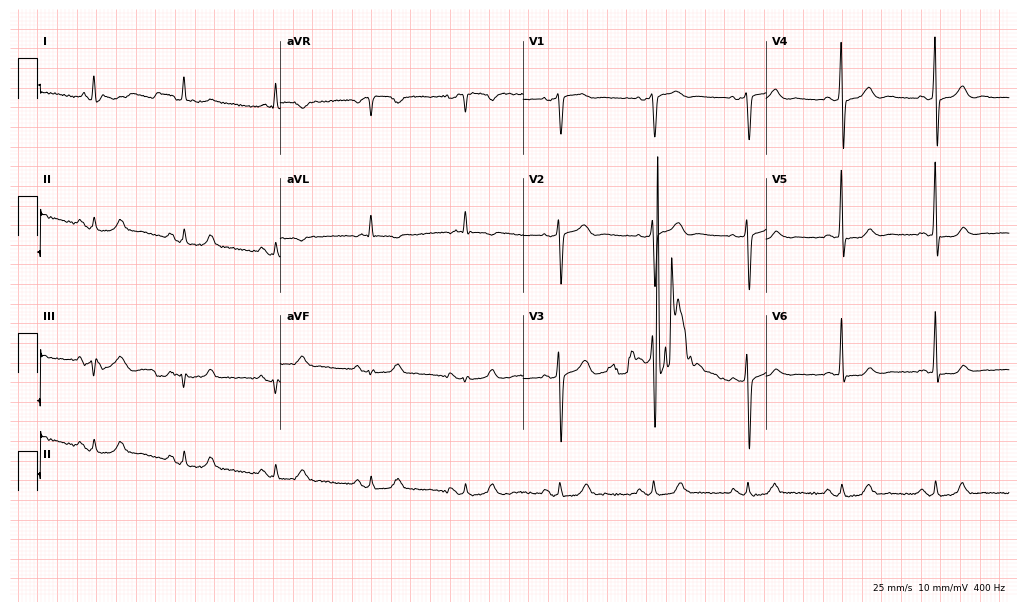
Standard 12-lead ECG recorded from a male patient, 70 years old. Read as a normal ECG.